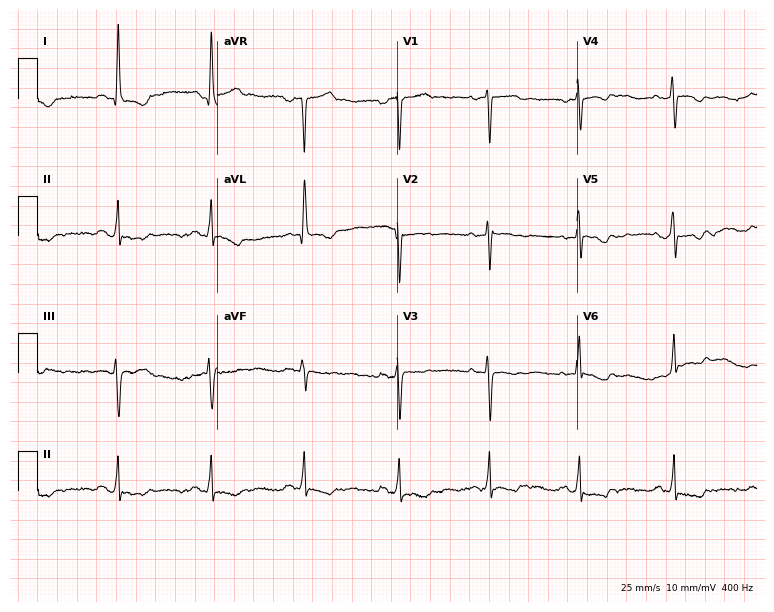
Standard 12-lead ECG recorded from a 55-year-old female. None of these six findings is recorded: first-degree AV block, right bundle branch block, left bundle branch block, sinus bradycardia, atrial fibrillation, sinus tachycardia.